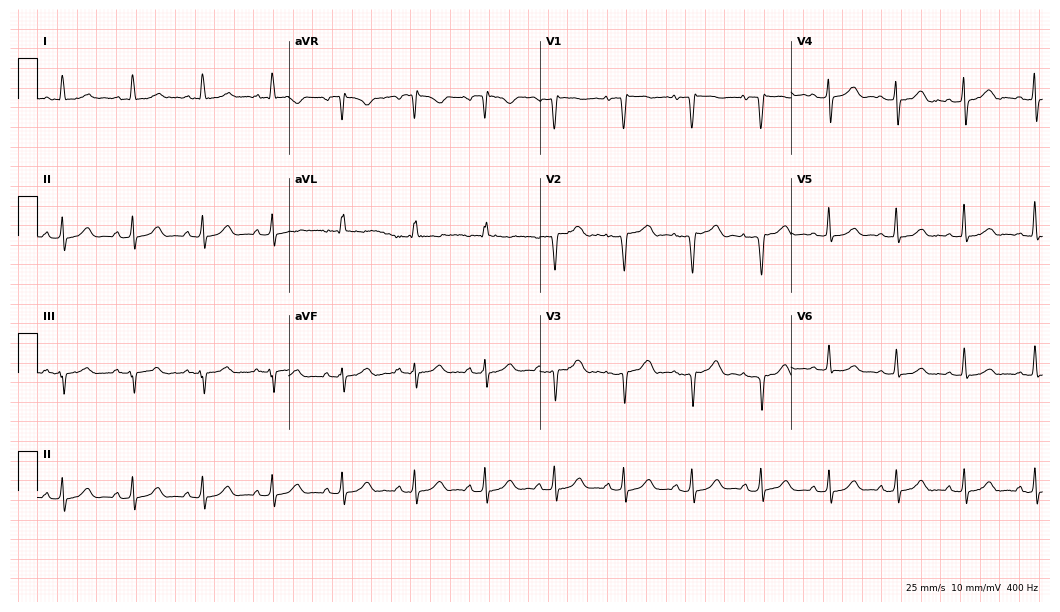
Resting 12-lead electrocardiogram. Patient: a 65-year-old woman. Read as a normal ECG.